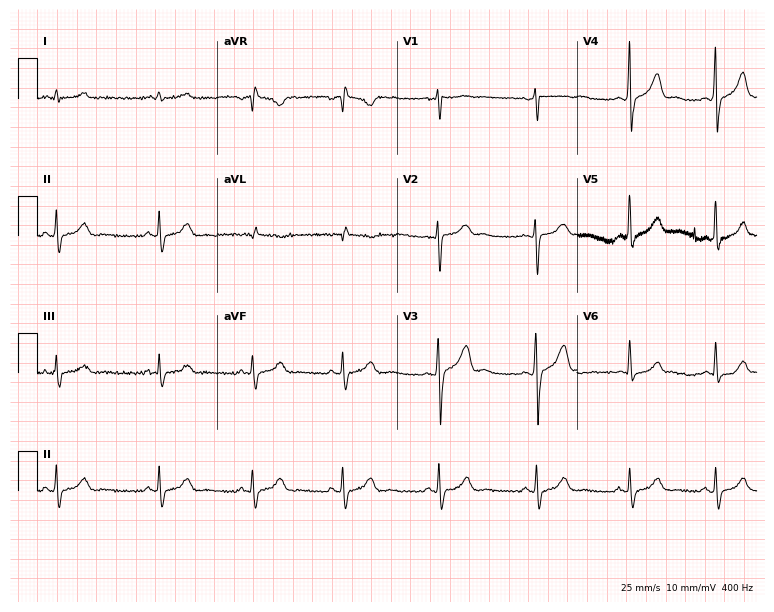
ECG (7.3-second recording at 400 Hz) — a man, 21 years old. Labelled as a normal ECG.